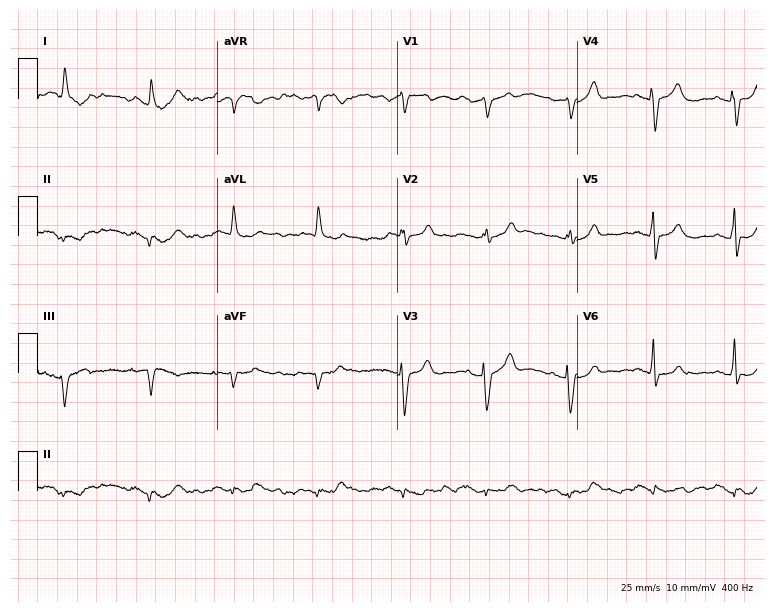
12-lead ECG from an 80-year-old female patient. Screened for six findings — first-degree AV block, right bundle branch block (RBBB), left bundle branch block (LBBB), sinus bradycardia, atrial fibrillation (AF), sinus tachycardia — none is recorded.